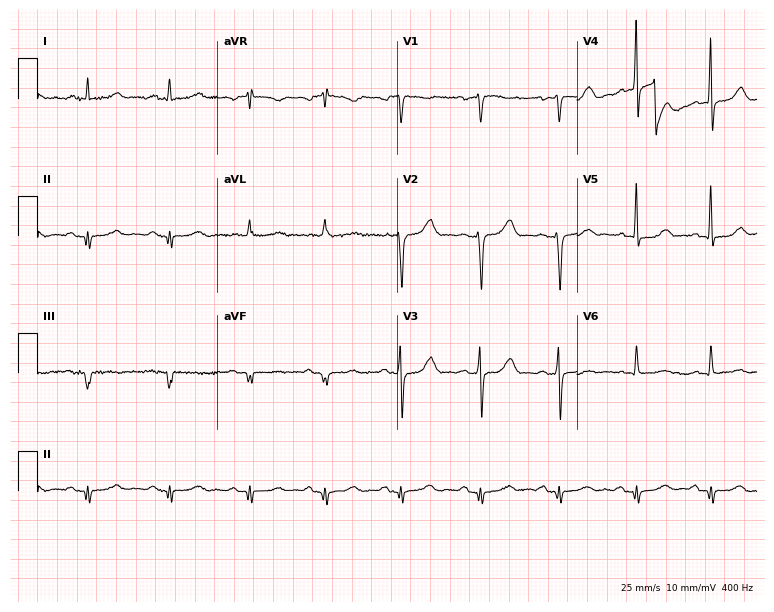
12-lead ECG from a woman, 43 years old (7.3-second recording at 400 Hz). Recorded interpretation: within normal limits.